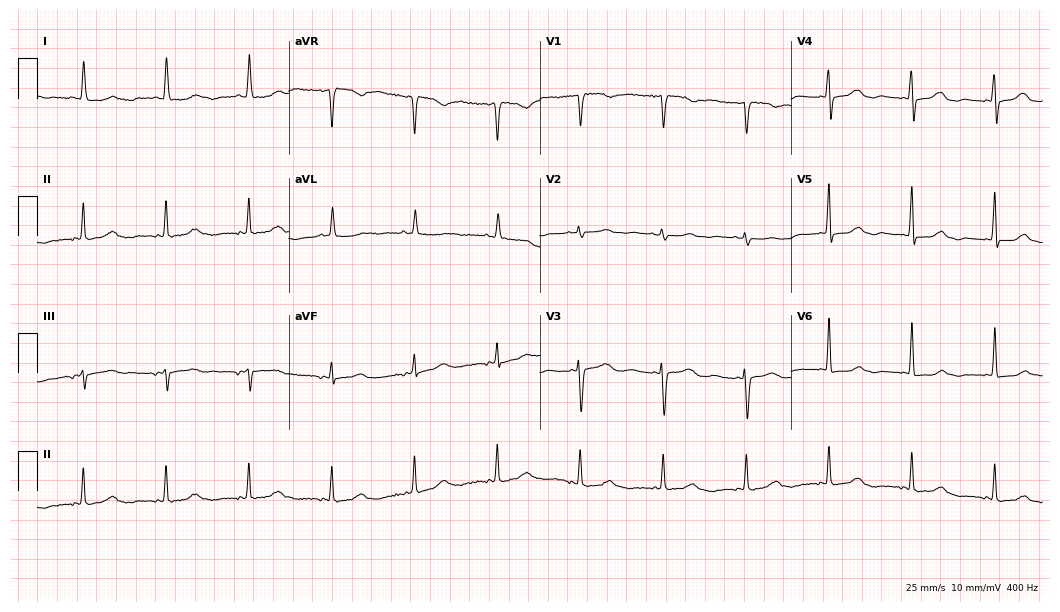
12-lead ECG (10.2-second recording at 400 Hz) from a 71-year-old woman. Labelled as a normal ECG.